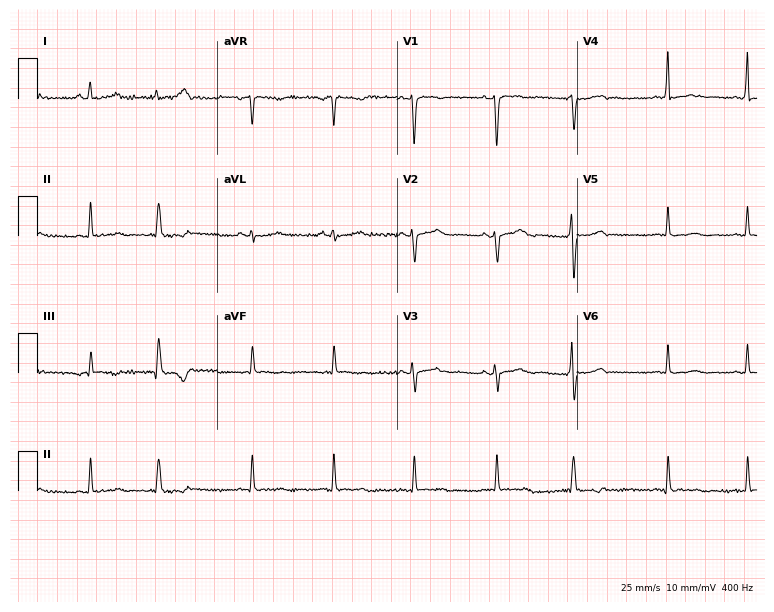
ECG — a 40-year-old female. Labelled as a normal ECG.